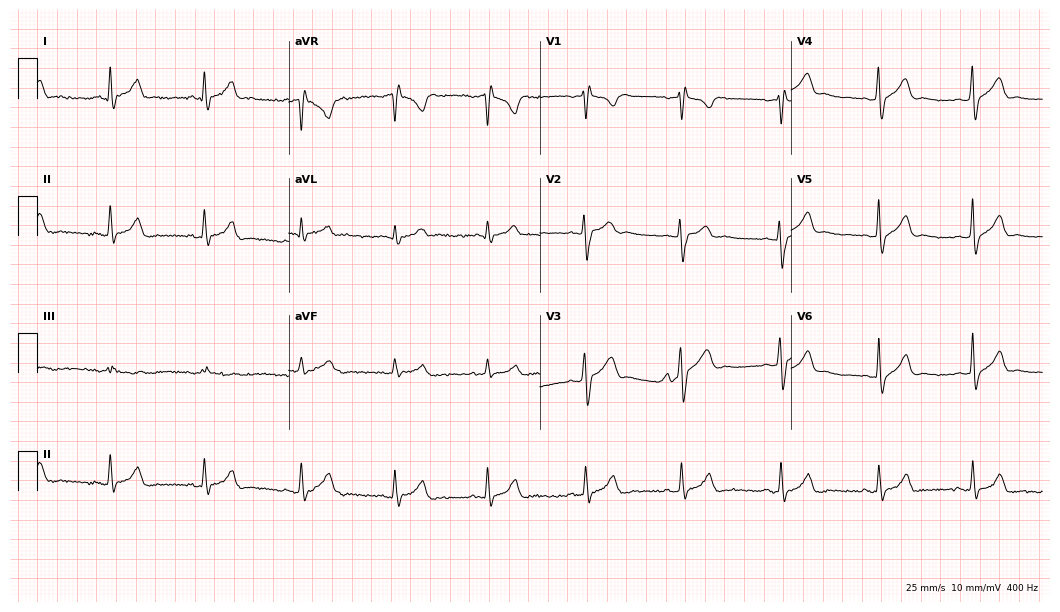
12-lead ECG from a 24-year-old male patient. No first-degree AV block, right bundle branch block (RBBB), left bundle branch block (LBBB), sinus bradycardia, atrial fibrillation (AF) or sinus tachycardia recorded for this tracing. Only these six findings were labelled.